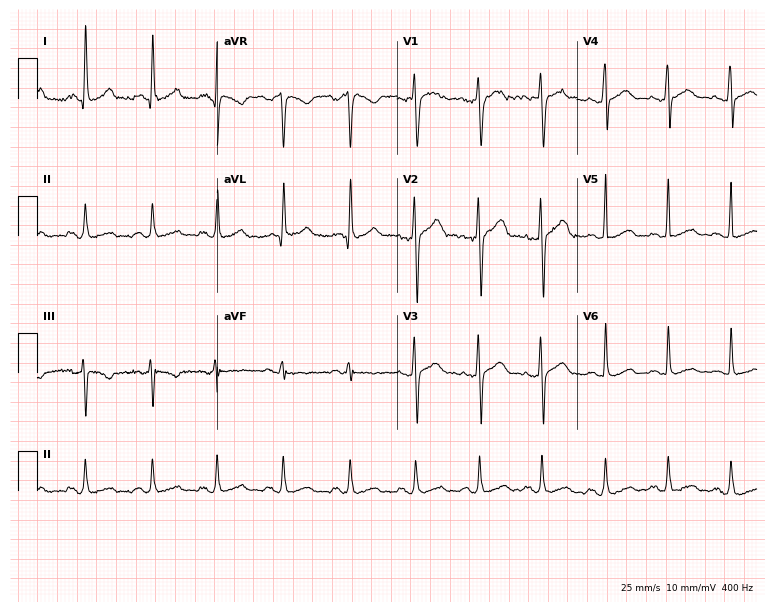
Resting 12-lead electrocardiogram (7.3-second recording at 400 Hz). Patient: a man, 29 years old. Read as a normal ECG.